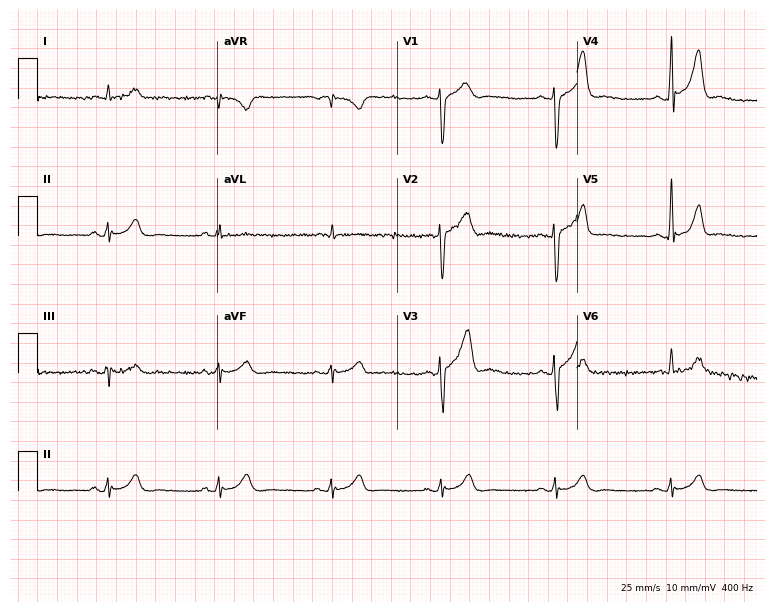
12-lead ECG (7.3-second recording at 400 Hz) from a 55-year-old male patient. Screened for six findings — first-degree AV block, right bundle branch block, left bundle branch block, sinus bradycardia, atrial fibrillation, sinus tachycardia — none is recorded. Findings outside these six are not listed.